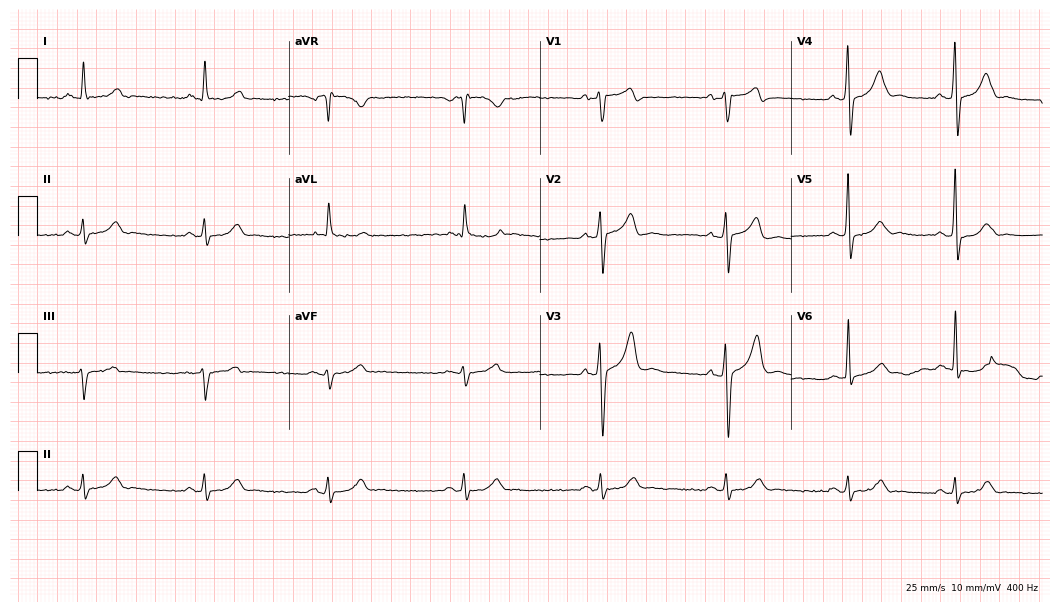
Standard 12-lead ECG recorded from a 69-year-old man. The tracing shows sinus bradycardia (a sinus rate of 50 beats per minute or less).